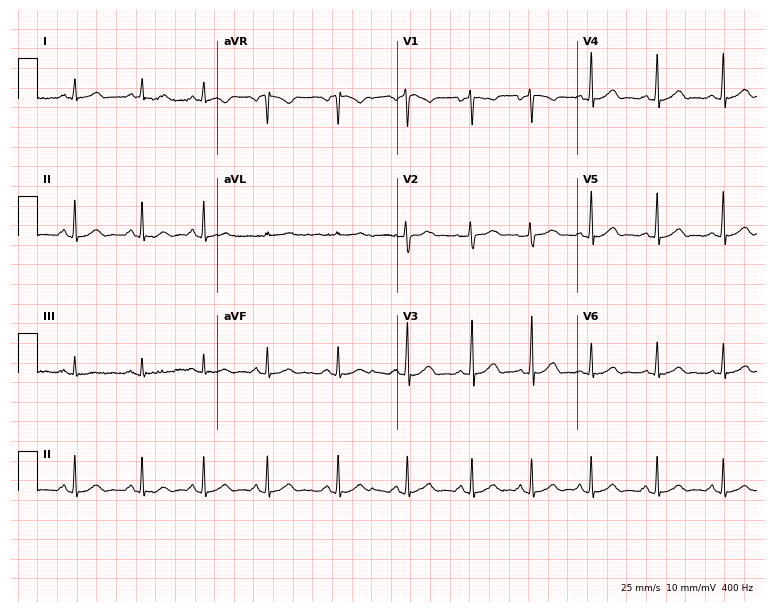
ECG (7.3-second recording at 400 Hz) — a woman, 22 years old. Screened for six findings — first-degree AV block, right bundle branch block, left bundle branch block, sinus bradycardia, atrial fibrillation, sinus tachycardia — none is recorded. Only these six findings were labelled.